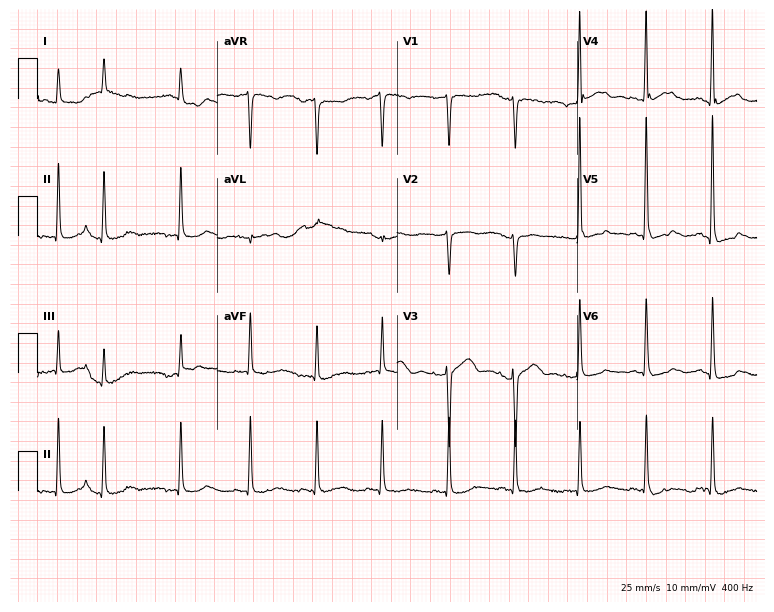
12-lead ECG from an 84-year-old female. Screened for six findings — first-degree AV block, right bundle branch block, left bundle branch block, sinus bradycardia, atrial fibrillation, sinus tachycardia — none is recorded. Only these six findings were labelled.